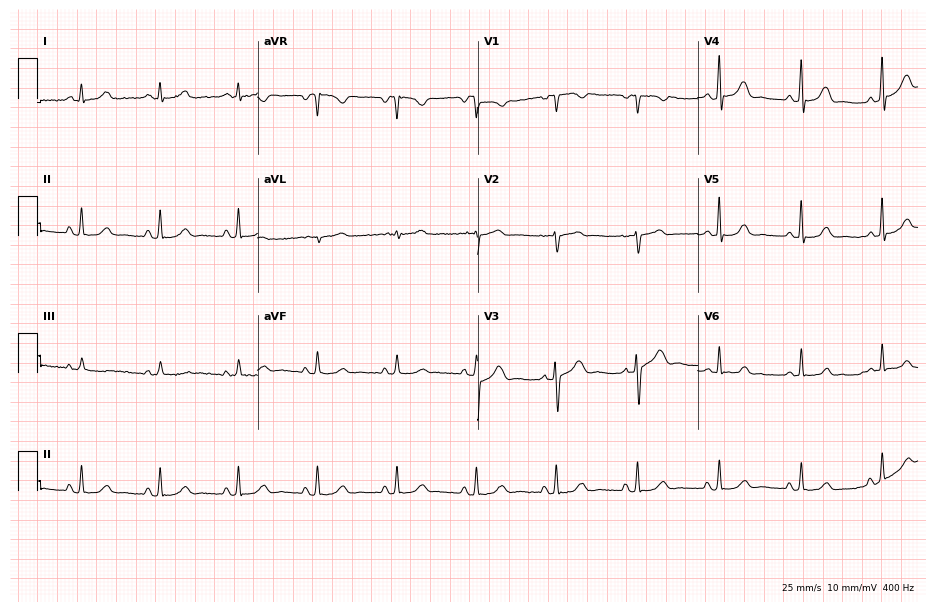
12-lead ECG from a female patient, 53 years old. Screened for six findings — first-degree AV block, right bundle branch block, left bundle branch block, sinus bradycardia, atrial fibrillation, sinus tachycardia — none is recorded.